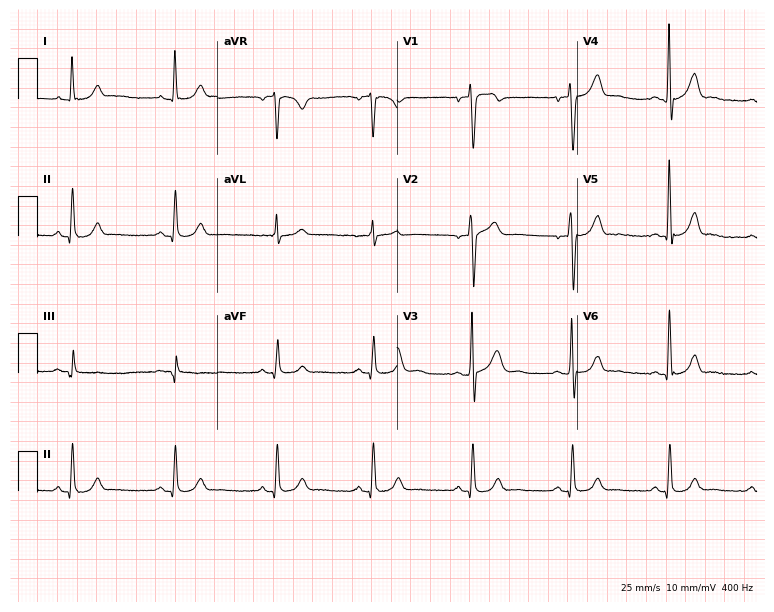
12-lead ECG (7.3-second recording at 400 Hz) from a 45-year-old male patient. Labelled as a normal ECG.